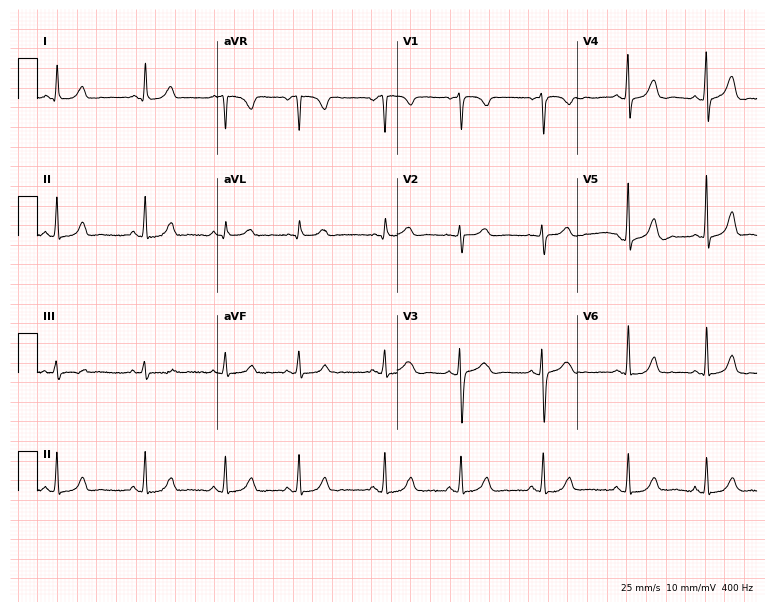
Standard 12-lead ECG recorded from a female, 24 years old (7.3-second recording at 400 Hz). Read as a normal ECG.